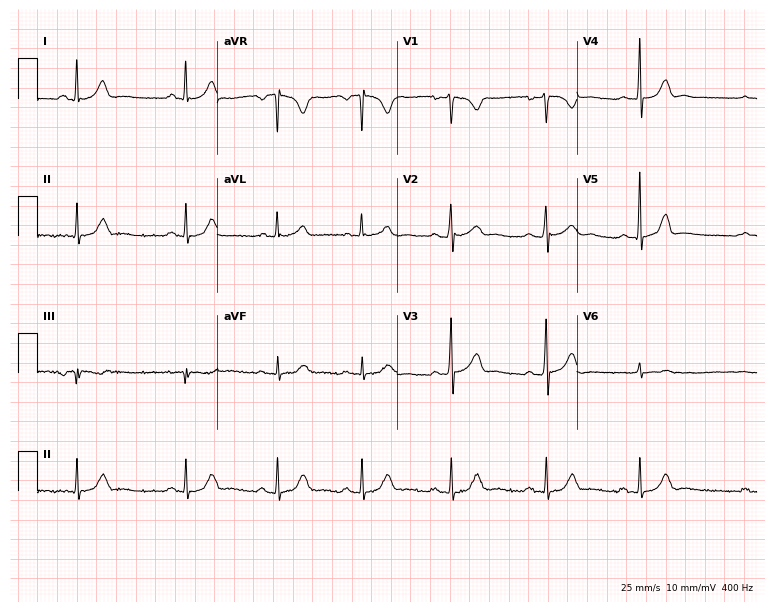
ECG — a female patient, 35 years old. Labelled as a normal ECG.